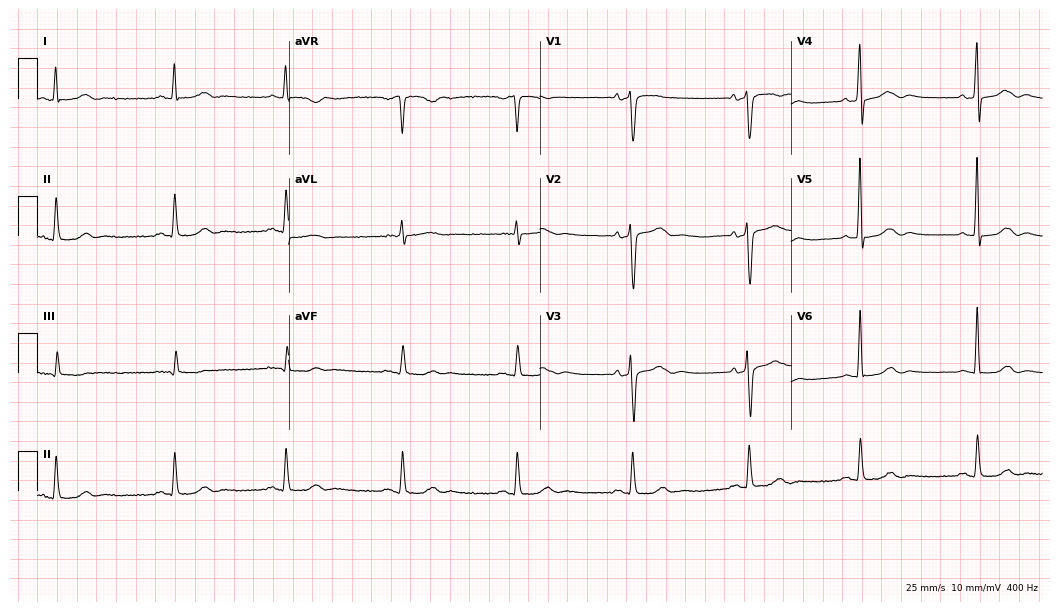
12-lead ECG from a female, 62 years old (10.2-second recording at 400 Hz). No first-degree AV block, right bundle branch block, left bundle branch block, sinus bradycardia, atrial fibrillation or sinus tachycardia recorded for this tracing. Other findings, if any, are not listed.